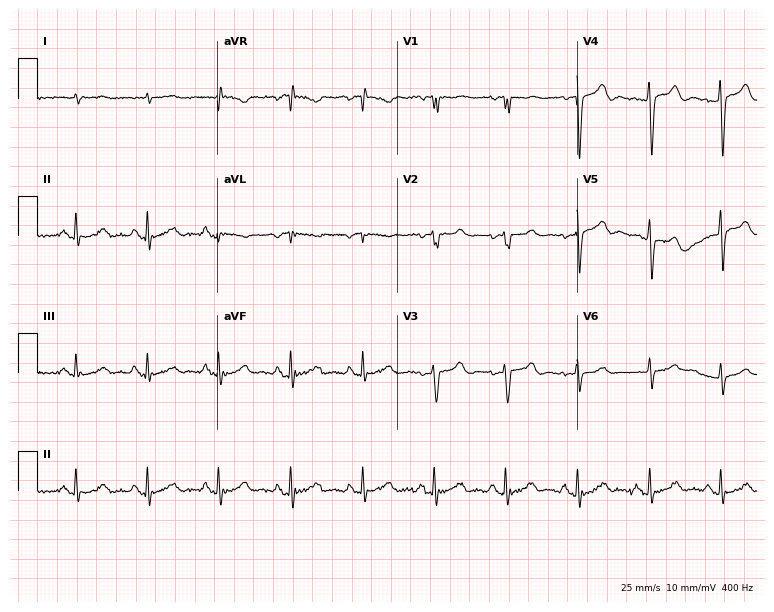
12-lead ECG from a male, 82 years old (7.3-second recording at 400 Hz). No first-degree AV block, right bundle branch block (RBBB), left bundle branch block (LBBB), sinus bradycardia, atrial fibrillation (AF) or sinus tachycardia recorded for this tracing.